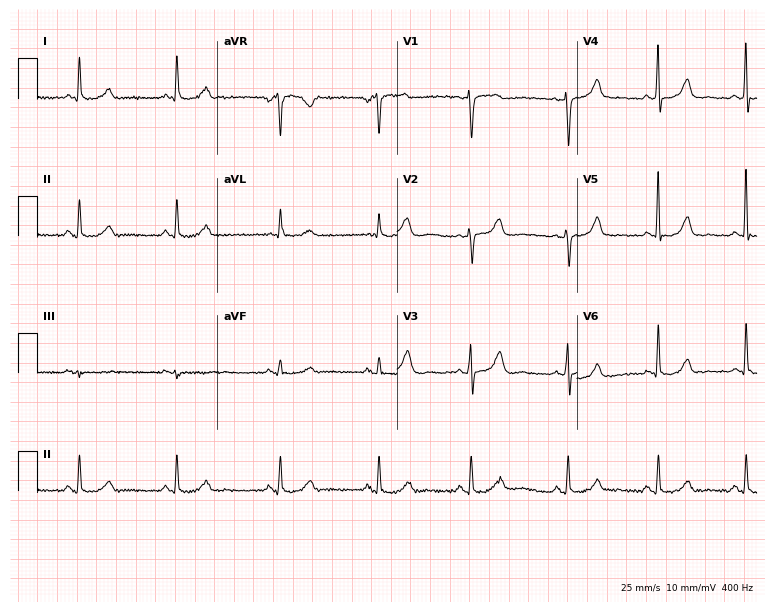
Electrocardiogram, a woman, 53 years old. Overall reading on record: normal ECG.